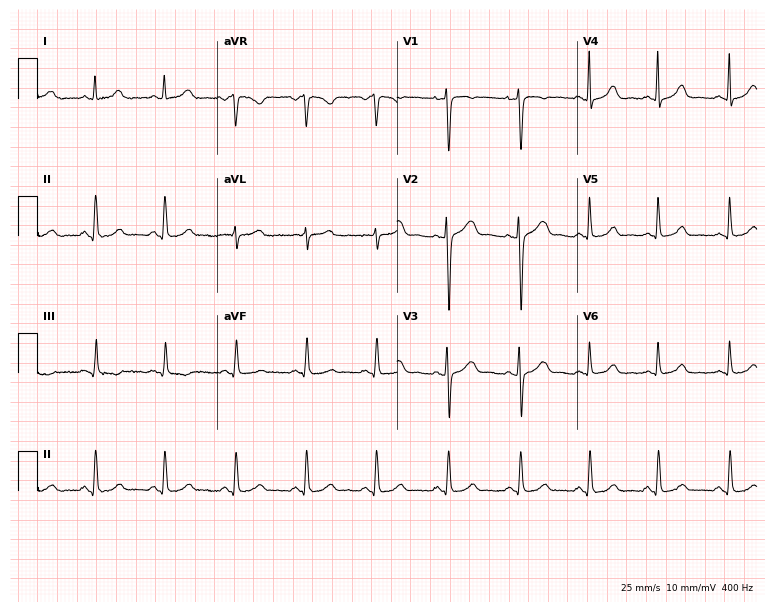
Resting 12-lead electrocardiogram. Patient: a 25-year-old female. None of these six findings is recorded: first-degree AV block, right bundle branch block, left bundle branch block, sinus bradycardia, atrial fibrillation, sinus tachycardia.